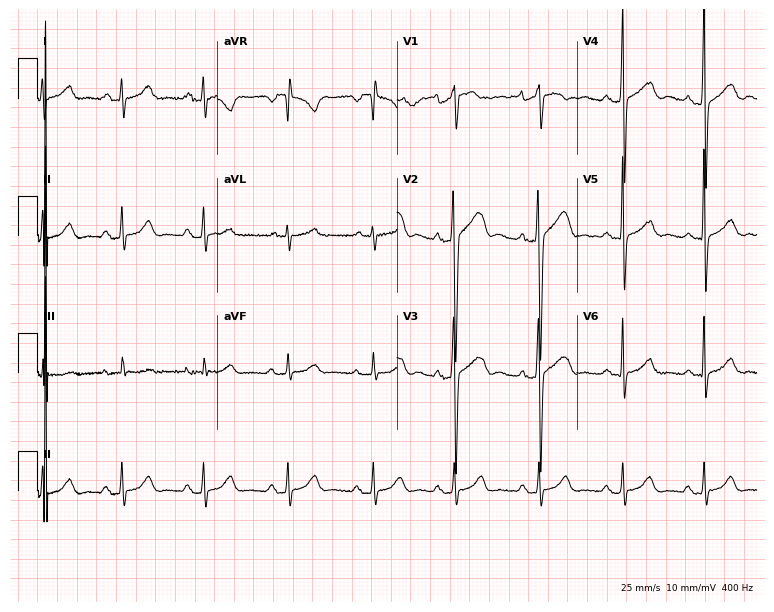
Electrocardiogram, a man, 26 years old. Of the six screened findings (first-degree AV block, right bundle branch block (RBBB), left bundle branch block (LBBB), sinus bradycardia, atrial fibrillation (AF), sinus tachycardia), none is recorded. Other findings, if any, are not listed.